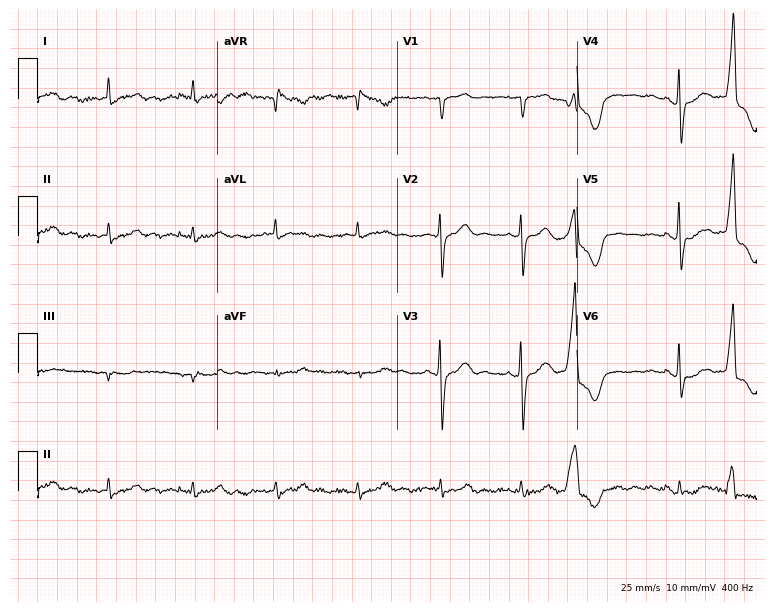
12-lead ECG from a male patient, 72 years old (7.3-second recording at 400 Hz). No first-degree AV block, right bundle branch block, left bundle branch block, sinus bradycardia, atrial fibrillation or sinus tachycardia recorded for this tracing.